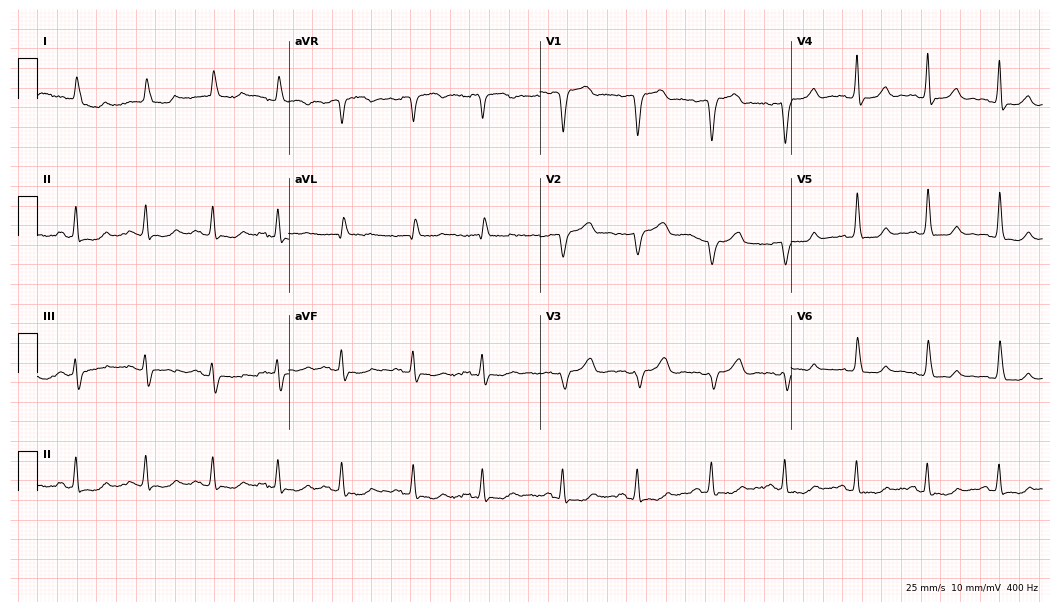
Standard 12-lead ECG recorded from a 70-year-old woman (10.2-second recording at 400 Hz). None of these six findings is recorded: first-degree AV block, right bundle branch block, left bundle branch block, sinus bradycardia, atrial fibrillation, sinus tachycardia.